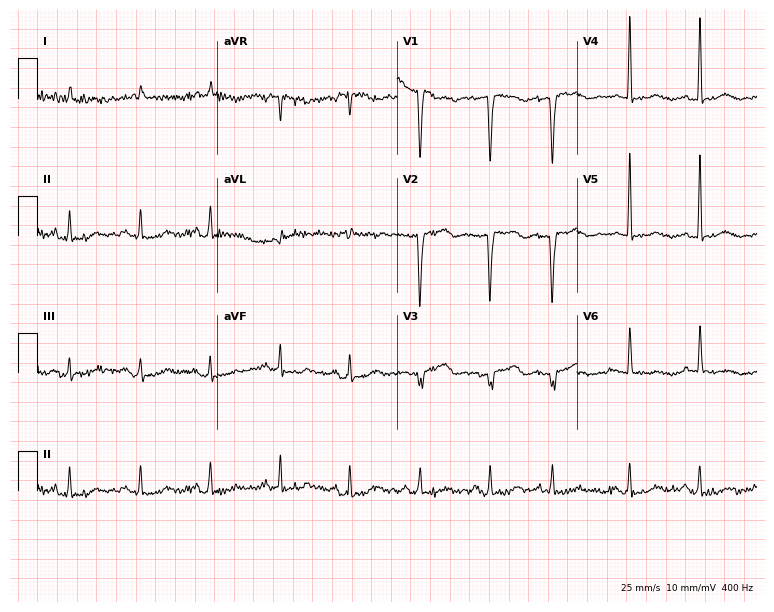
Electrocardiogram (7.3-second recording at 400 Hz), a female, 60 years old. Of the six screened findings (first-degree AV block, right bundle branch block, left bundle branch block, sinus bradycardia, atrial fibrillation, sinus tachycardia), none is recorded. Findings outside these six are not listed.